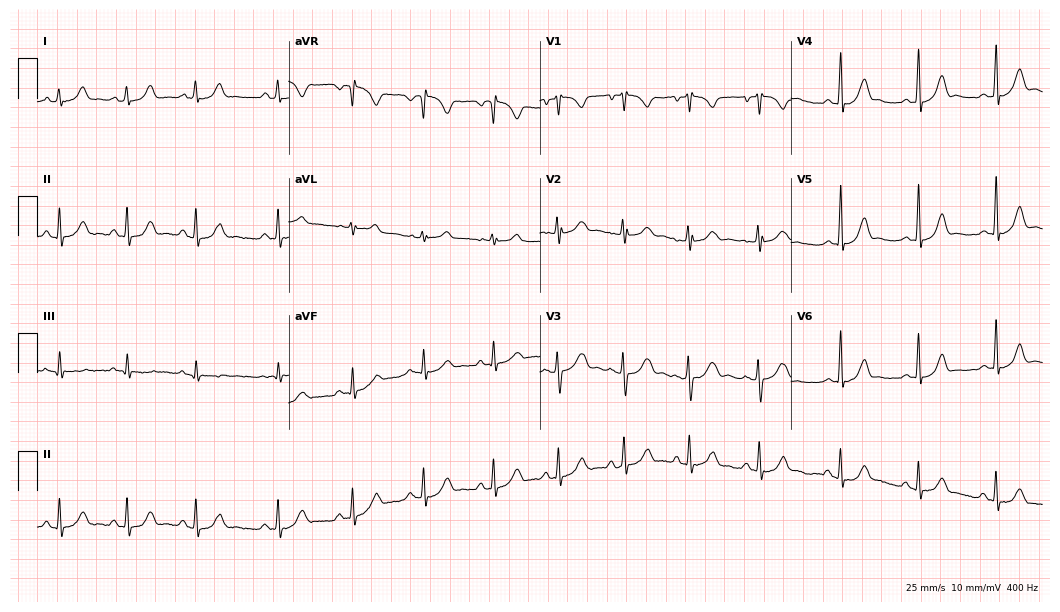
ECG (10.2-second recording at 400 Hz) — a woman, 18 years old. Labelled as a normal ECG.